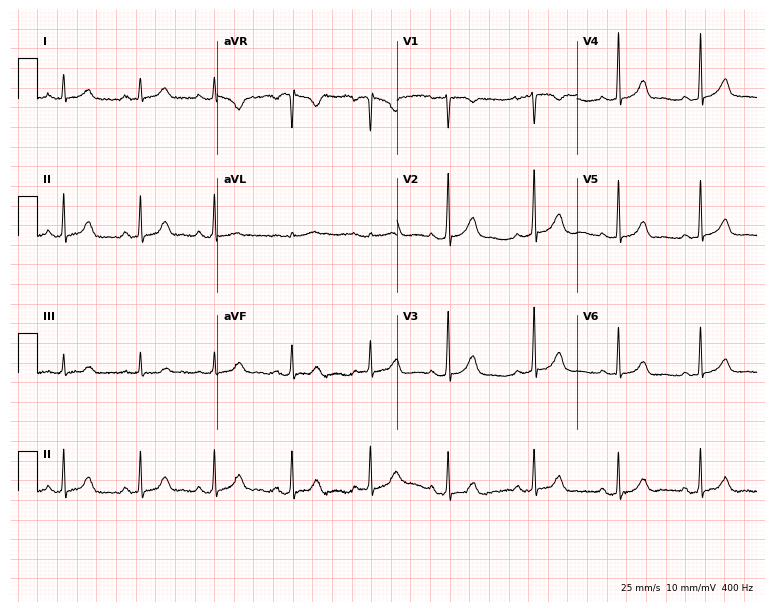
Standard 12-lead ECG recorded from a female patient, 26 years old (7.3-second recording at 400 Hz). Read as a normal ECG.